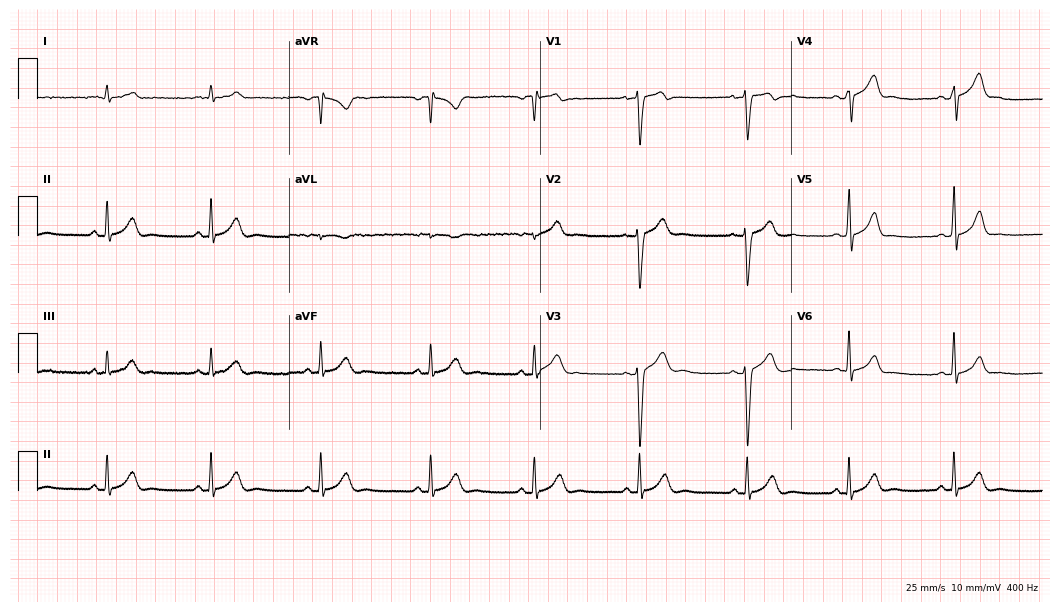
Standard 12-lead ECG recorded from a man, 25 years old. Read as a normal ECG.